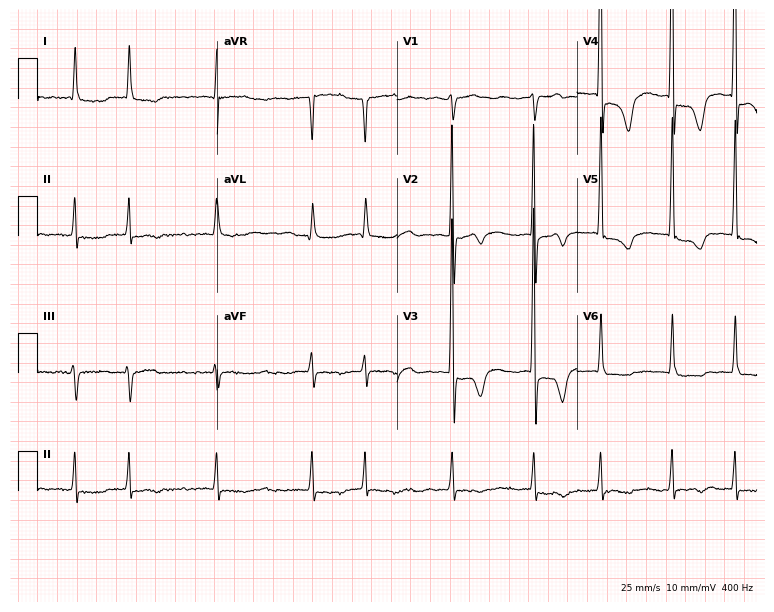
12-lead ECG from a female patient, 82 years old. Shows atrial fibrillation.